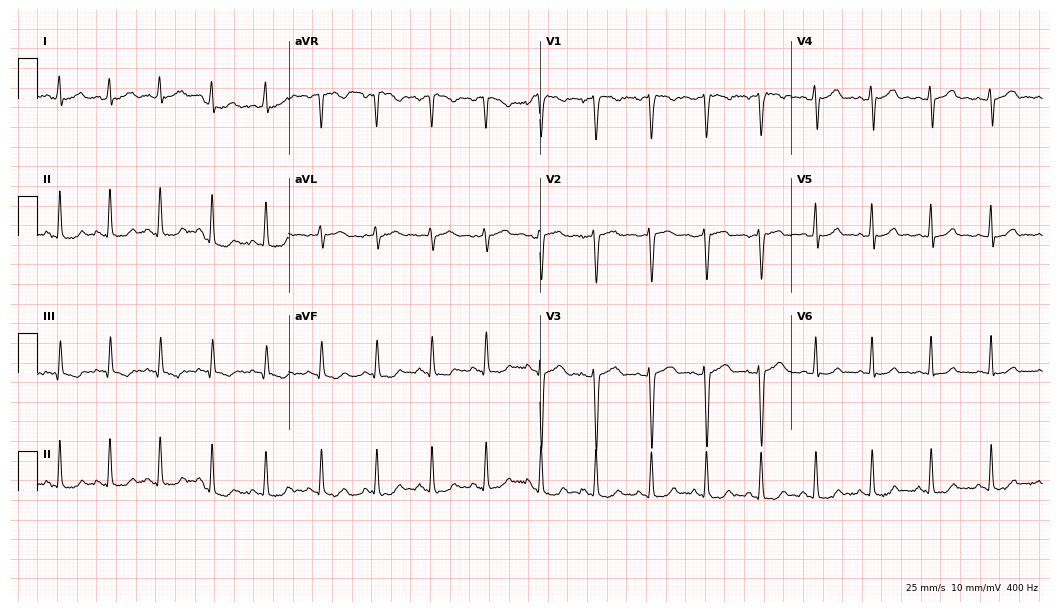
12-lead ECG from a 23-year-old female patient. Shows sinus tachycardia (a sinus rate of 100 beats per minute or more).